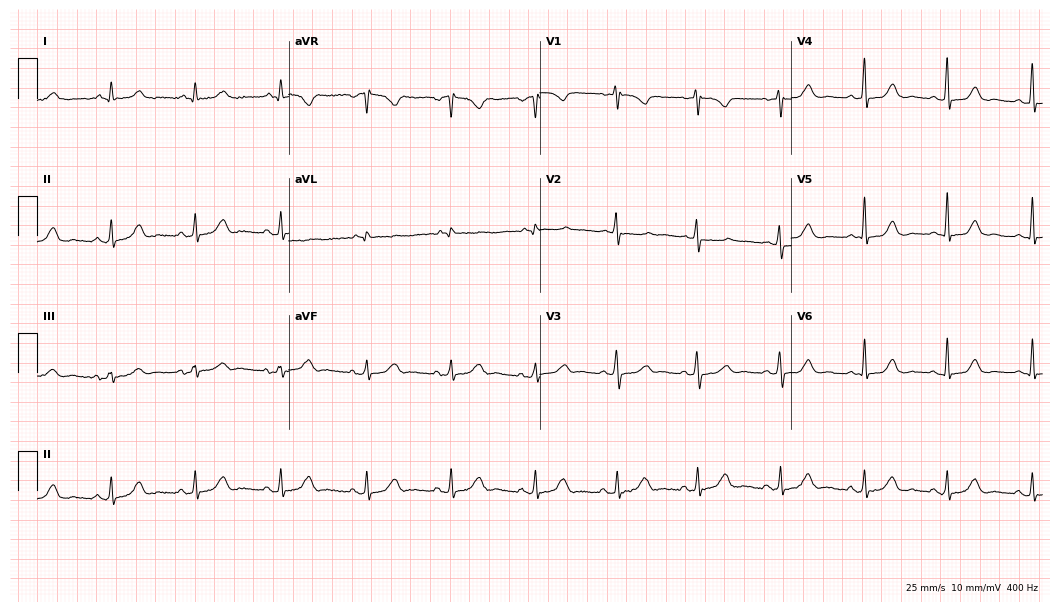
12-lead ECG from a 55-year-old female (10.2-second recording at 400 Hz). No first-degree AV block, right bundle branch block (RBBB), left bundle branch block (LBBB), sinus bradycardia, atrial fibrillation (AF) or sinus tachycardia recorded for this tracing.